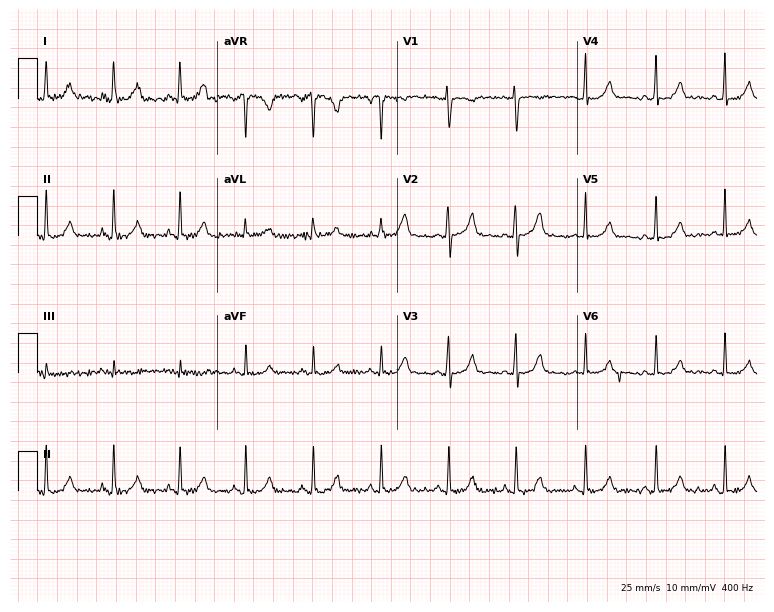
Standard 12-lead ECG recorded from a 36-year-old woman (7.3-second recording at 400 Hz). Read as a normal ECG.